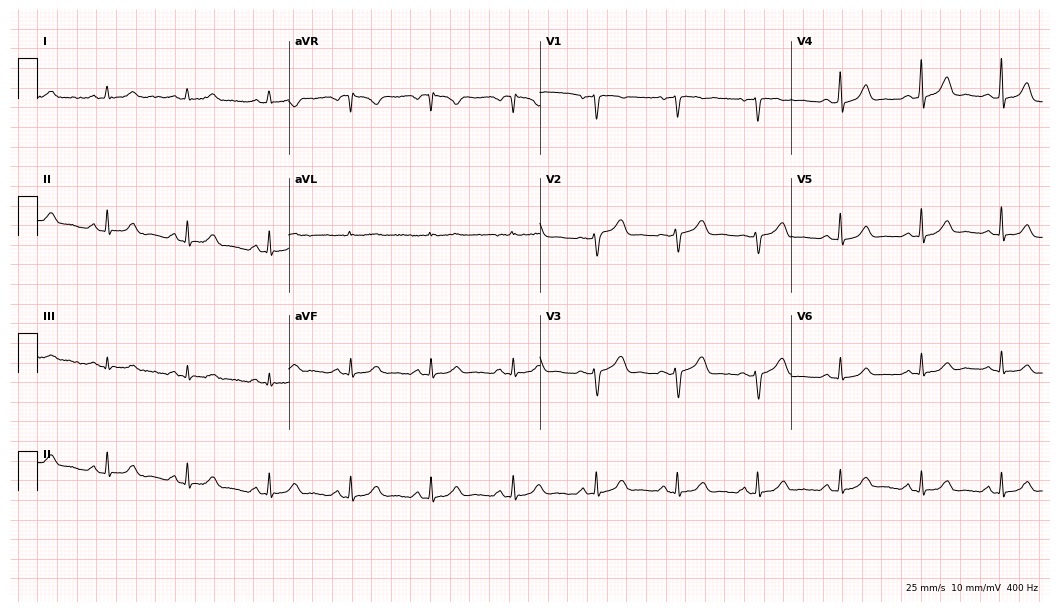
Resting 12-lead electrocardiogram. Patient: a 42-year-old female. None of these six findings is recorded: first-degree AV block, right bundle branch block, left bundle branch block, sinus bradycardia, atrial fibrillation, sinus tachycardia. Other findings, if any, are not listed.